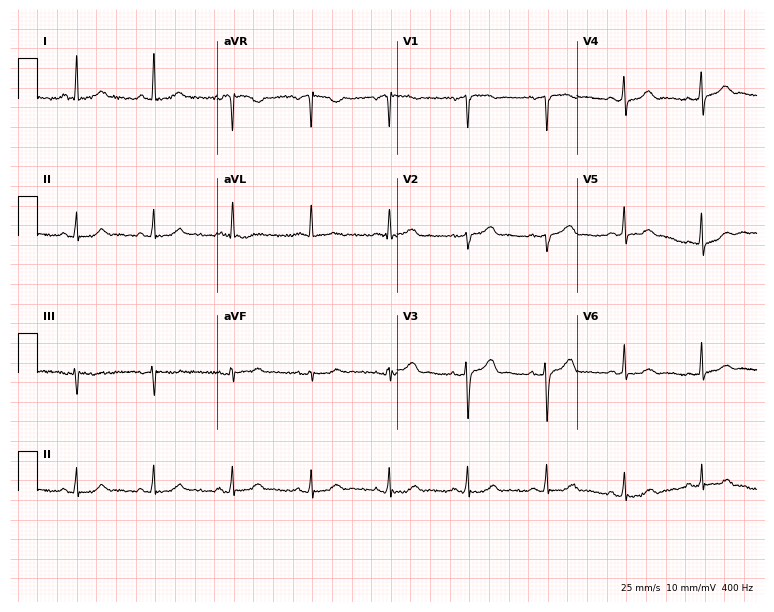
Electrocardiogram, a 69-year-old female patient. Overall reading on record: normal ECG.